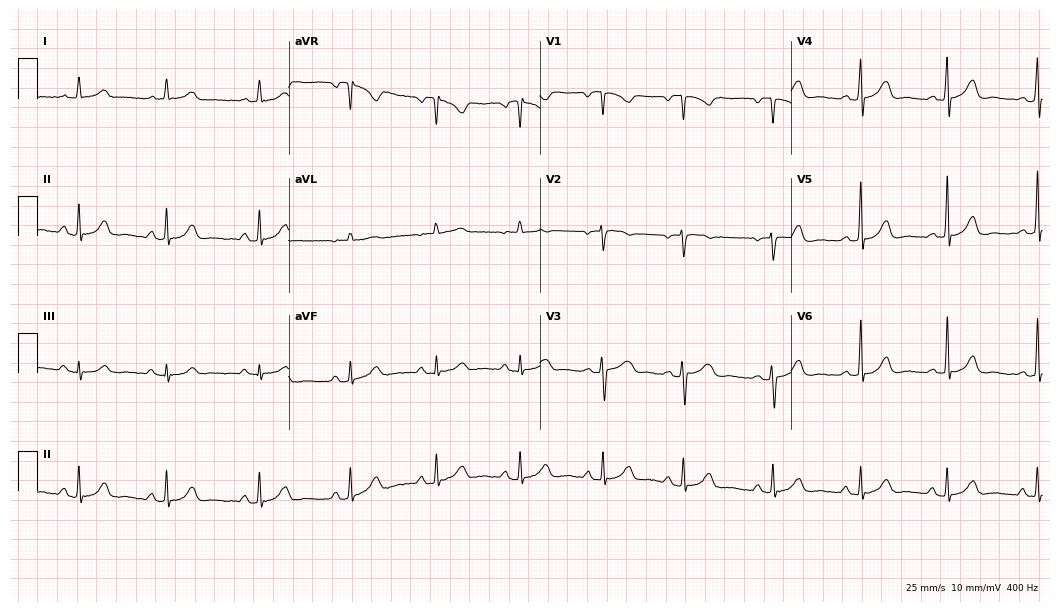
ECG (10.2-second recording at 400 Hz) — a 36-year-old male patient. Labelled as a normal ECG.